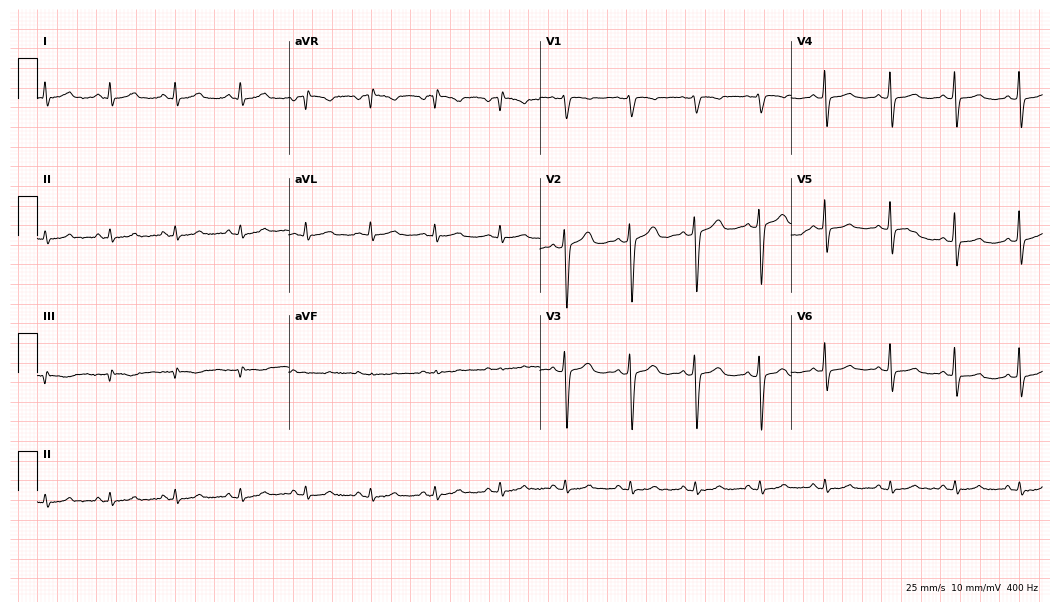
Resting 12-lead electrocardiogram. Patient: a female, 49 years old. None of these six findings is recorded: first-degree AV block, right bundle branch block, left bundle branch block, sinus bradycardia, atrial fibrillation, sinus tachycardia.